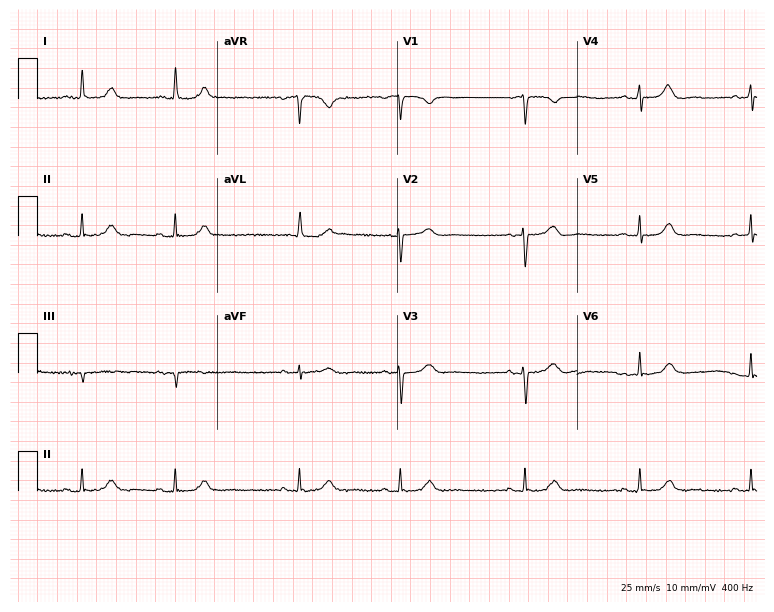
ECG — a female patient, 77 years old. Labelled as a normal ECG.